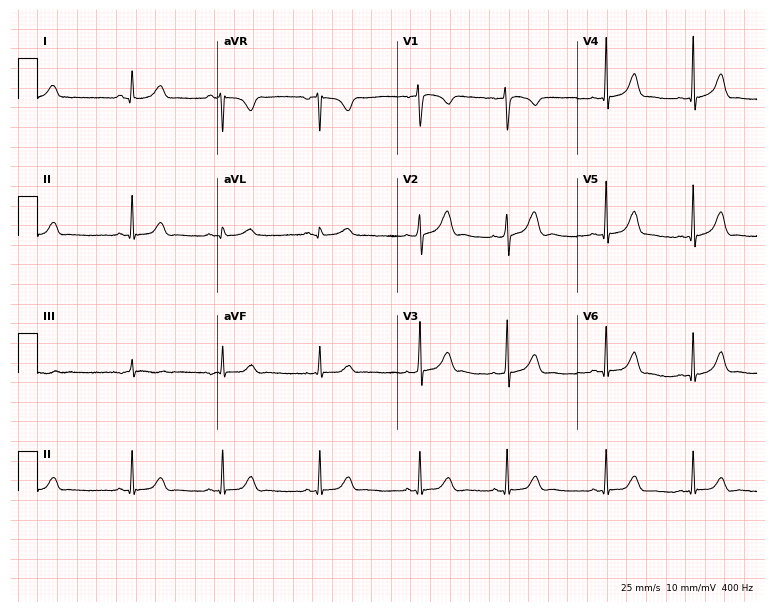
Standard 12-lead ECG recorded from an 18-year-old woman (7.3-second recording at 400 Hz). Read as a normal ECG.